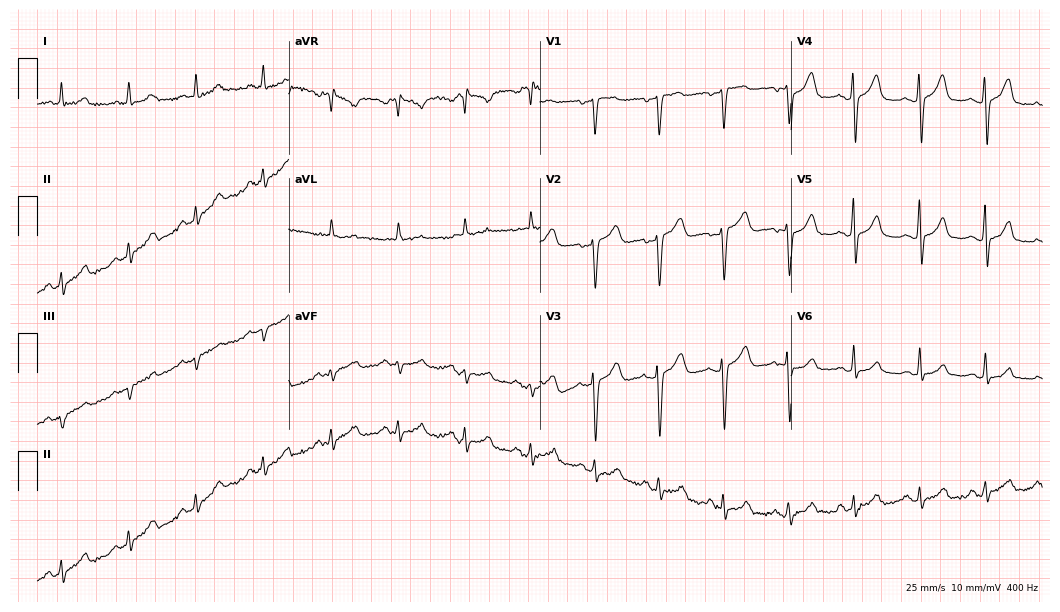
ECG (10.2-second recording at 400 Hz) — a 66-year-old woman. Labelled as a normal ECG.